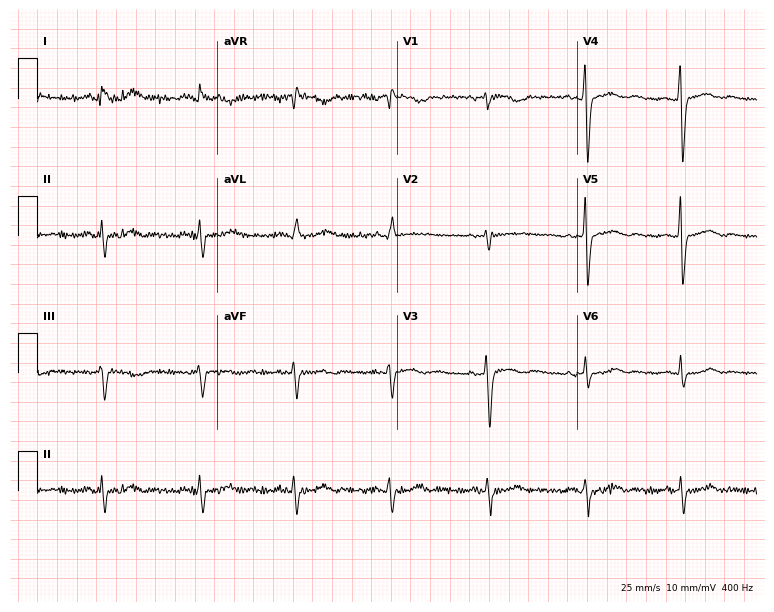
12-lead ECG from a female patient, 26 years old. Shows left bundle branch block.